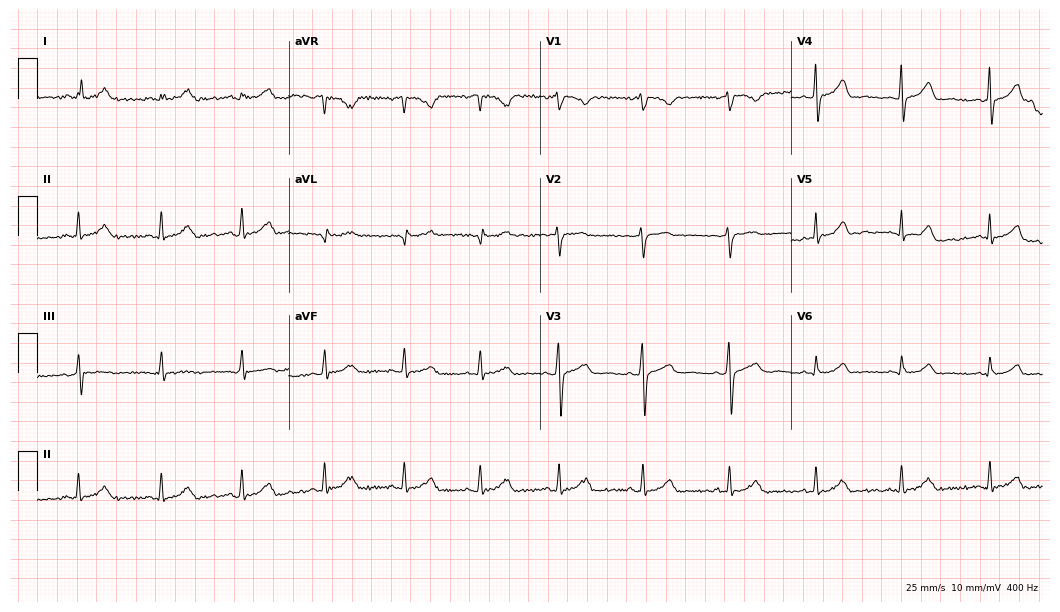
12-lead ECG from a 52-year-old woman. Labelled as a normal ECG.